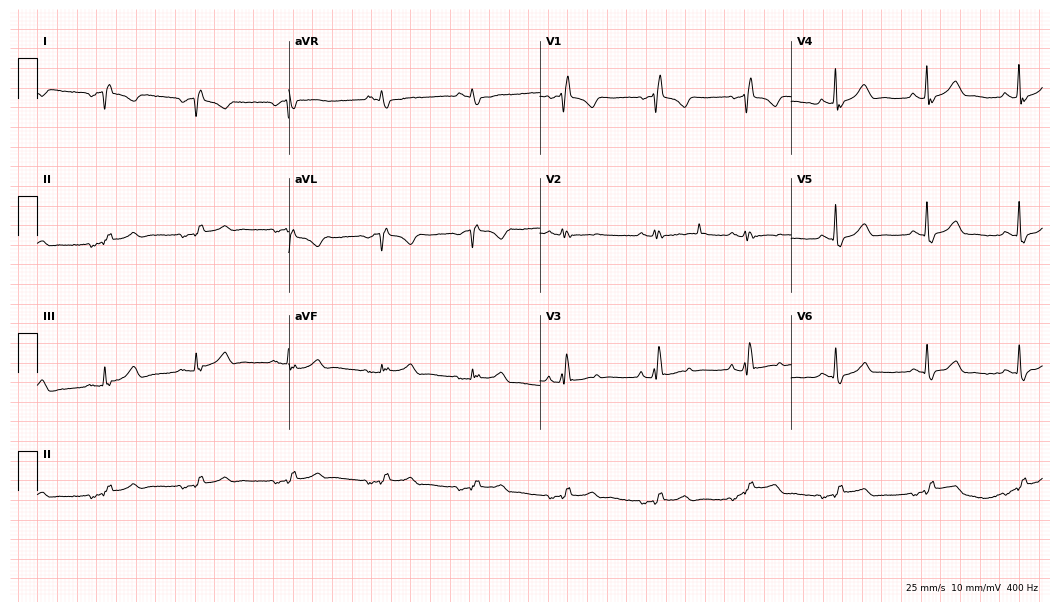
ECG — a female, 79 years old. Screened for six findings — first-degree AV block, right bundle branch block, left bundle branch block, sinus bradycardia, atrial fibrillation, sinus tachycardia — none is recorded. Only these six findings were labelled.